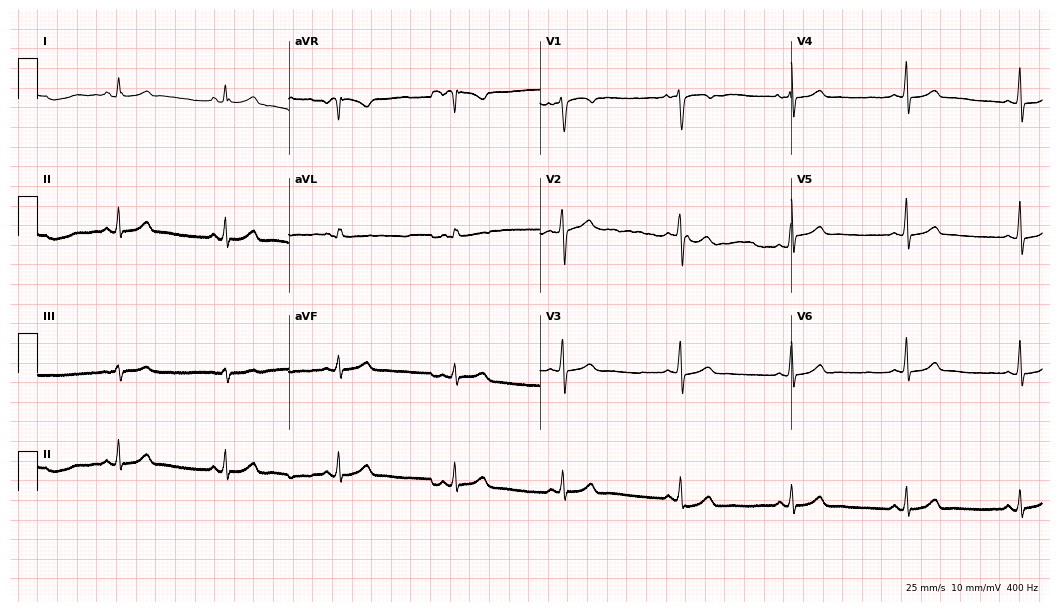
12-lead ECG from a 19-year-old woman. Labelled as a normal ECG.